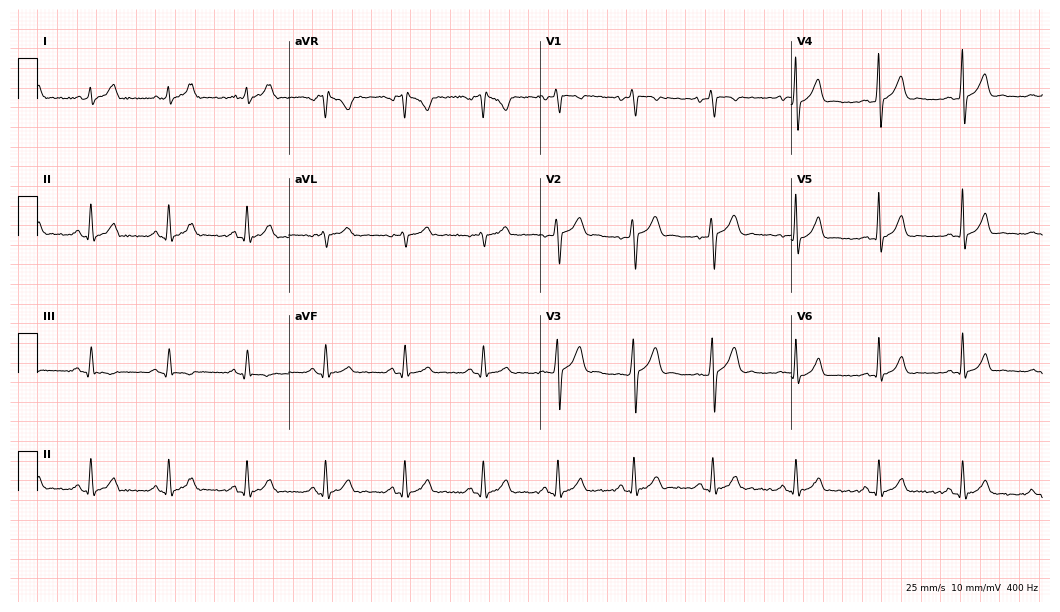
12-lead ECG from a 26-year-old male. No first-degree AV block, right bundle branch block (RBBB), left bundle branch block (LBBB), sinus bradycardia, atrial fibrillation (AF) or sinus tachycardia recorded for this tracing.